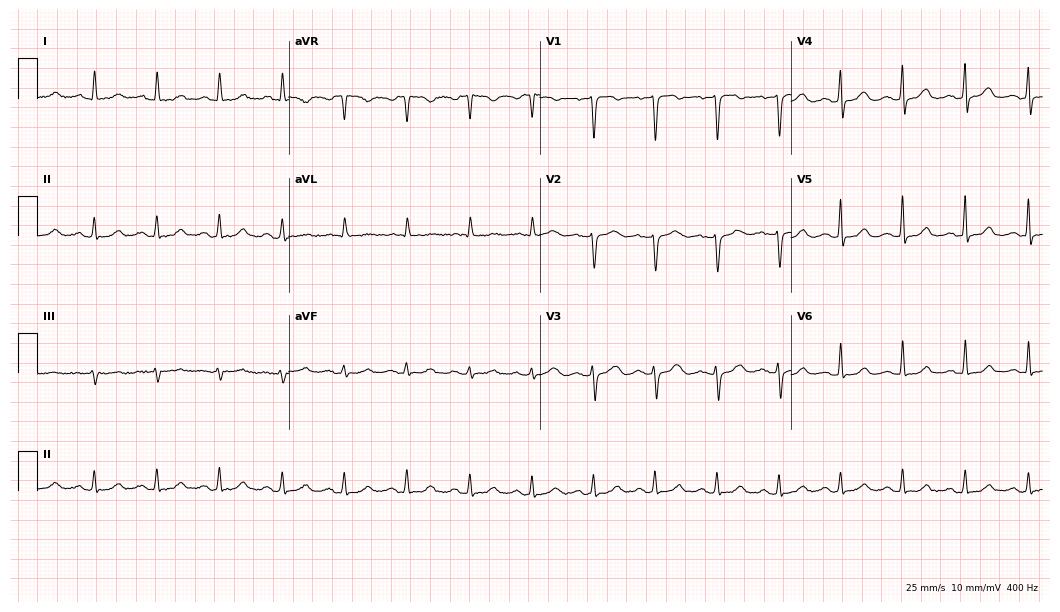
Resting 12-lead electrocardiogram (10.2-second recording at 400 Hz). Patient: a 58-year-old female. None of these six findings is recorded: first-degree AV block, right bundle branch block, left bundle branch block, sinus bradycardia, atrial fibrillation, sinus tachycardia.